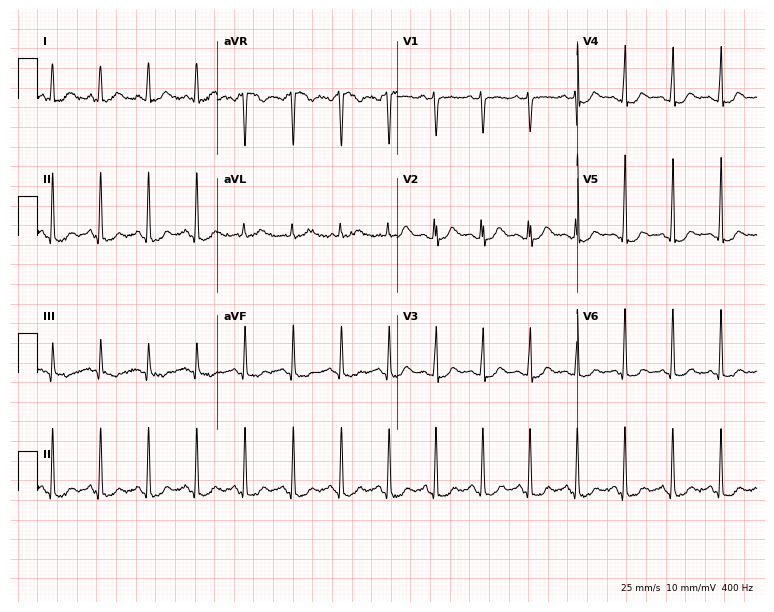
Electrocardiogram (7.3-second recording at 400 Hz), a 47-year-old woman. Interpretation includes sinus tachycardia (a sinus rate of 100 beats per minute or more).